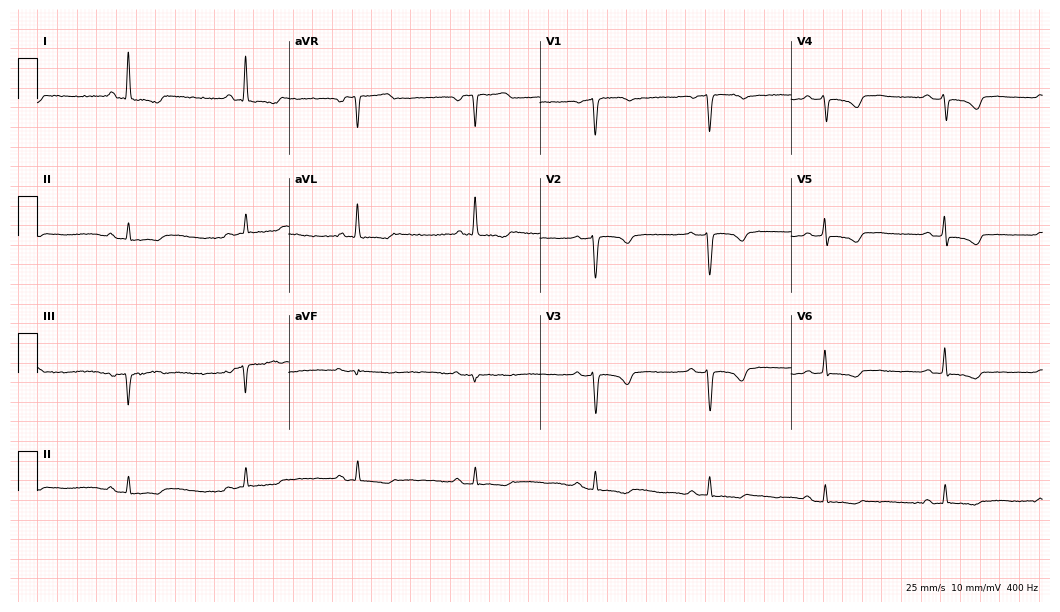
12-lead ECG from a 57-year-old female patient (10.2-second recording at 400 Hz). No first-degree AV block, right bundle branch block (RBBB), left bundle branch block (LBBB), sinus bradycardia, atrial fibrillation (AF) or sinus tachycardia recorded for this tracing.